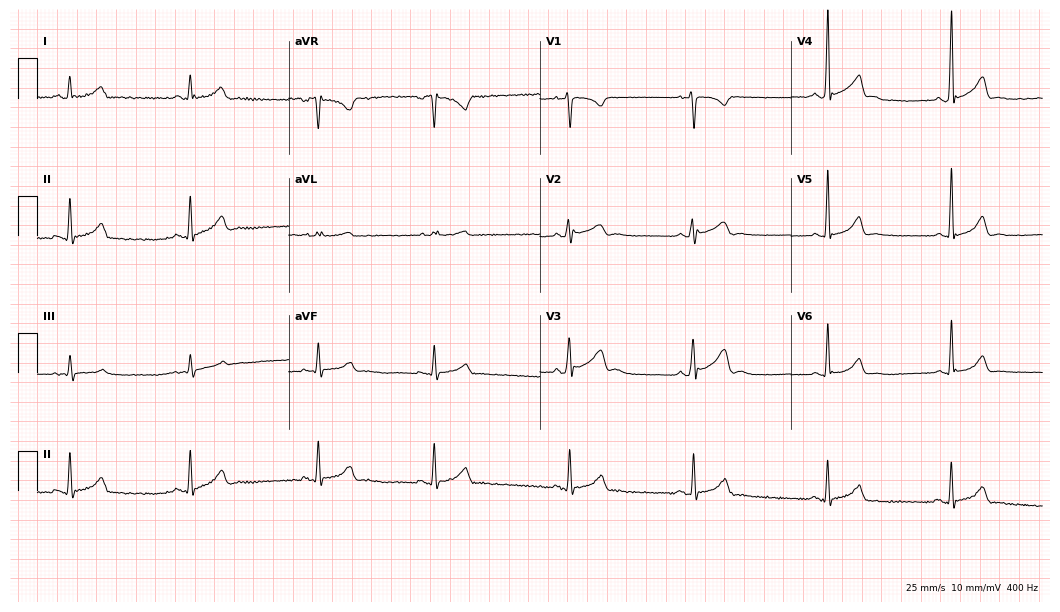
Standard 12-lead ECG recorded from a male patient, 24 years old (10.2-second recording at 400 Hz). None of these six findings is recorded: first-degree AV block, right bundle branch block, left bundle branch block, sinus bradycardia, atrial fibrillation, sinus tachycardia. Findings outside these six are not listed.